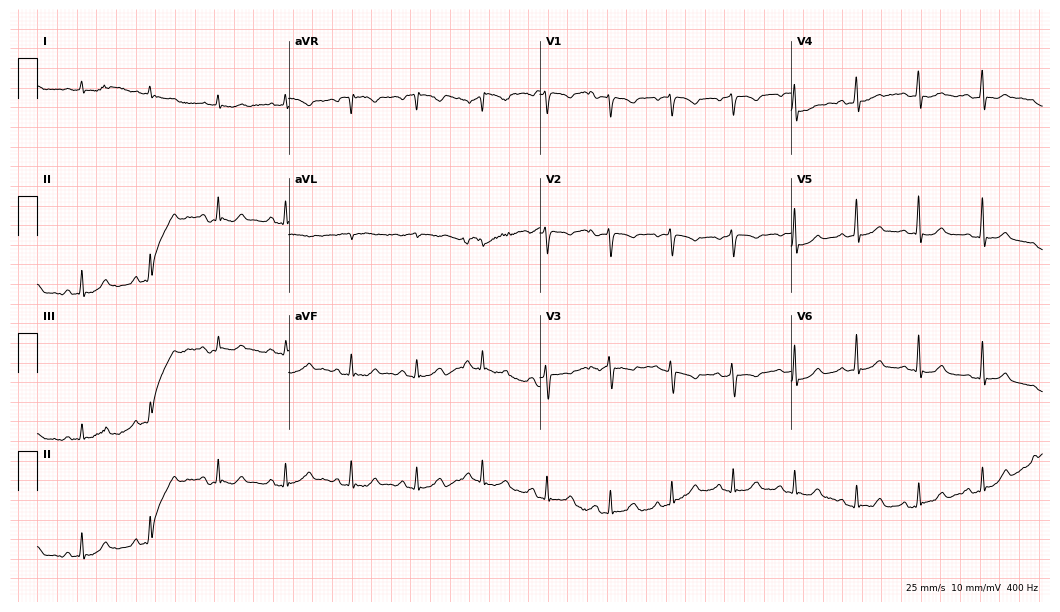
Standard 12-lead ECG recorded from a woman, 50 years old. Read as a normal ECG.